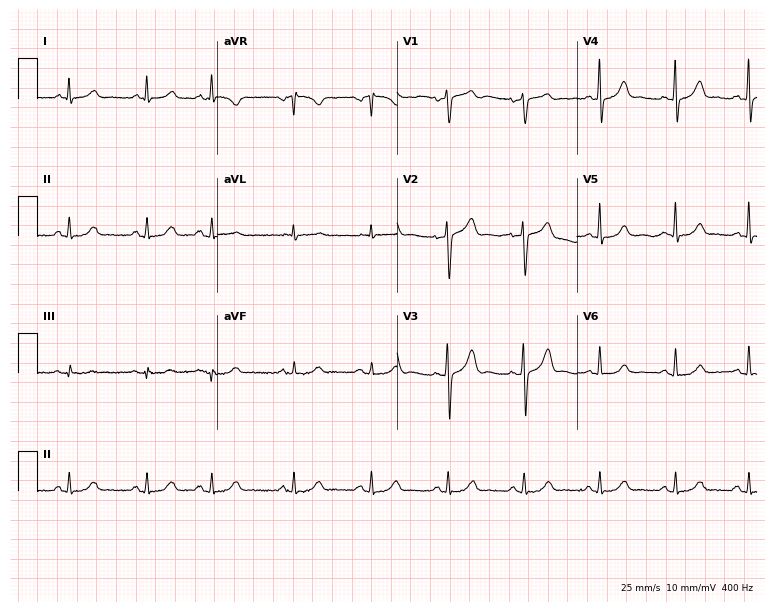
12-lead ECG from an 80-year-old man. No first-degree AV block, right bundle branch block (RBBB), left bundle branch block (LBBB), sinus bradycardia, atrial fibrillation (AF) or sinus tachycardia recorded for this tracing.